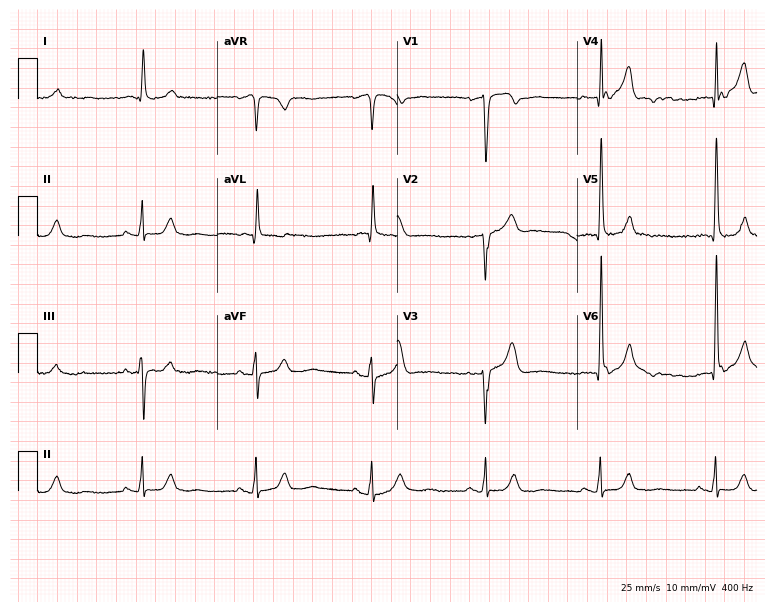
12-lead ECG from an 80-year-old man. No first-degree AV block, right bundle branch block (RBBB), left bundle branch block (LBBB), sinus bradycardia, atrial fibrillation (AF) or sinus tachycardia recorded for this tracing.